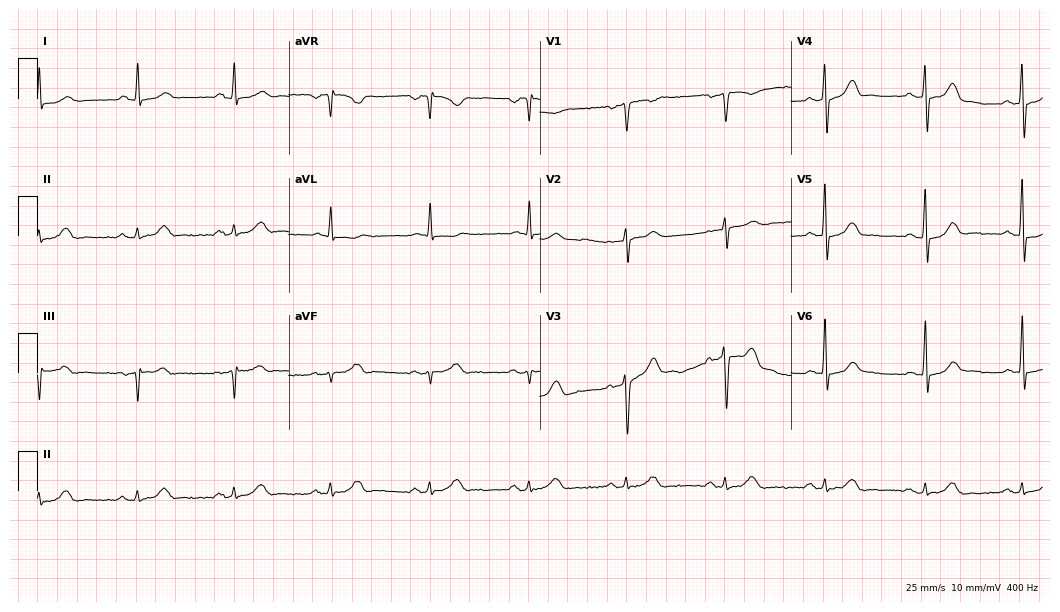
Resting 12-lead electrocardiogram. Patient: a male, 56 years old. Read as a normal ECG.